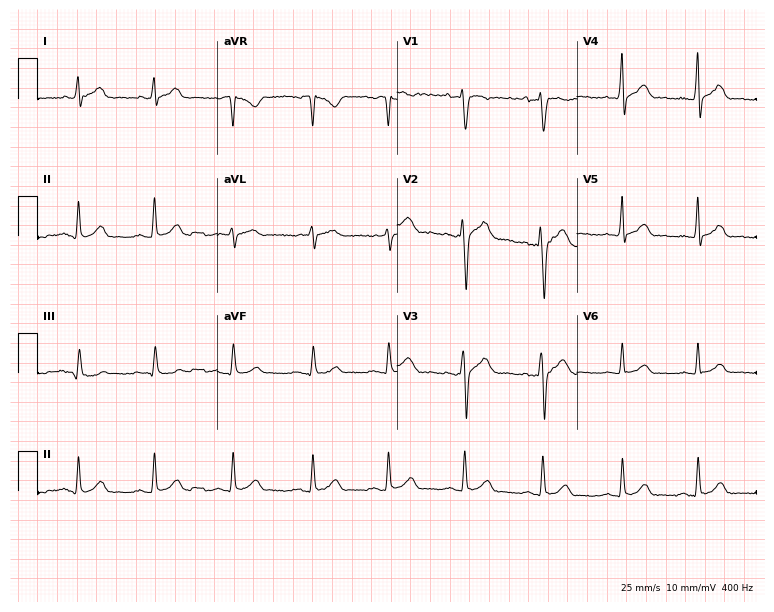
ECG — a female, 37 years old. Screened for six findings — first-degree AV block, right bundle branch block (RBBB), left bundle branch block (LBBB), sinus bradycardia, atrial fibrillation (AF), sinus tachycardia — none is recorded.